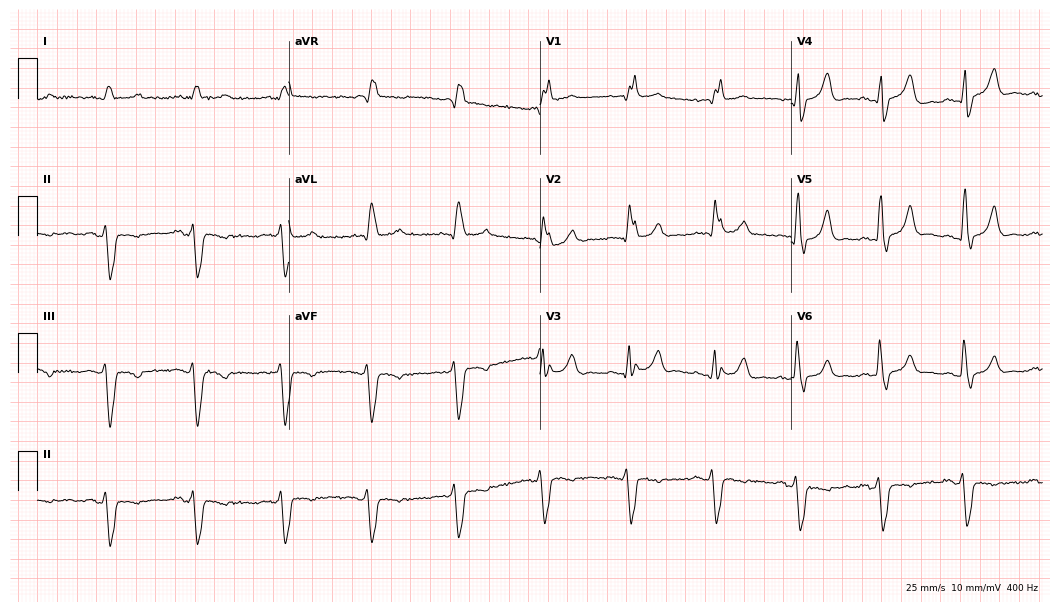
Electrocardiogram (10.2-second recording at 400 Hz), an 86-year-old man. Interpretation includes right bundle branch block (RBBB).